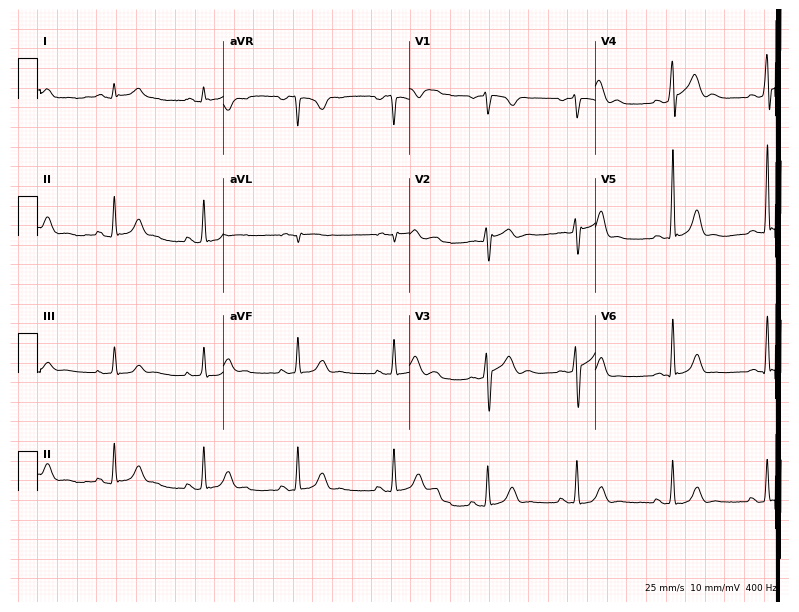
12-lead ECG (7.6-second recording at 400 Hz) from a 29-year-old male patient. Screened for six findings — first-degree AV block, right bundle branch block (RBBB), left bundle branch block (LBBB), sinus bradycardia, atrial fibrillation (AF), sinus tachycardia — none is recorded.